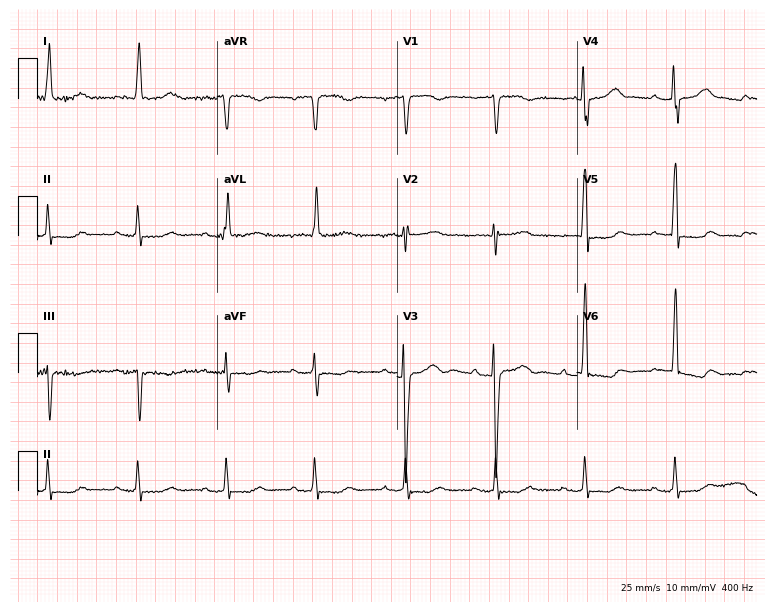
12-lead ECG from a 76-year-old female. No first-degree AV block, right bundle branch block (RBBB), left bundle branch block (LBBB), sinus bradycardia, atrial fibrillation (AF) or sinus tachycardia recorded for this tracing.